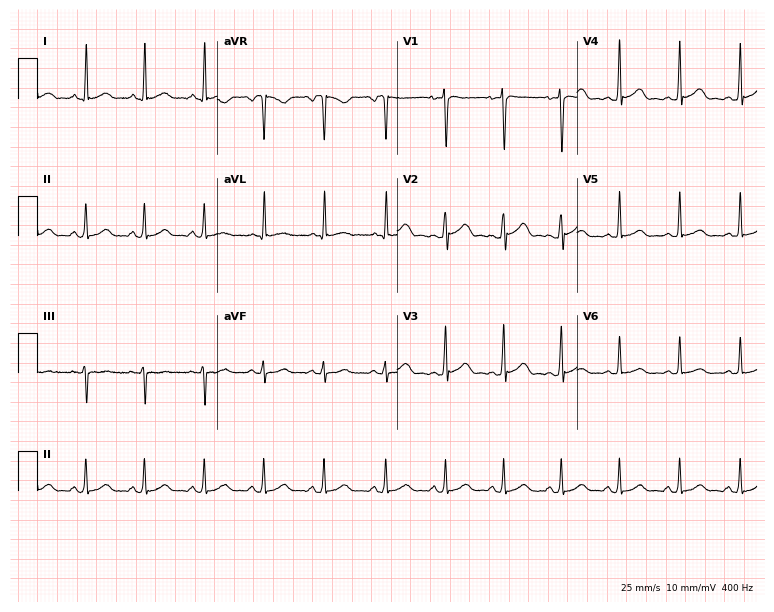
12-lead ECG from a 17-year-old woman (7.3-second recording at 400 Hz). No first-degree AV block, right bundle branch block (RBBB), left bundle branch block (LBBB), sinus bradycardia, atrial fibrillation (AF) or sinus tachycardia recorded for this tracing. Findings outside these six are not listed.